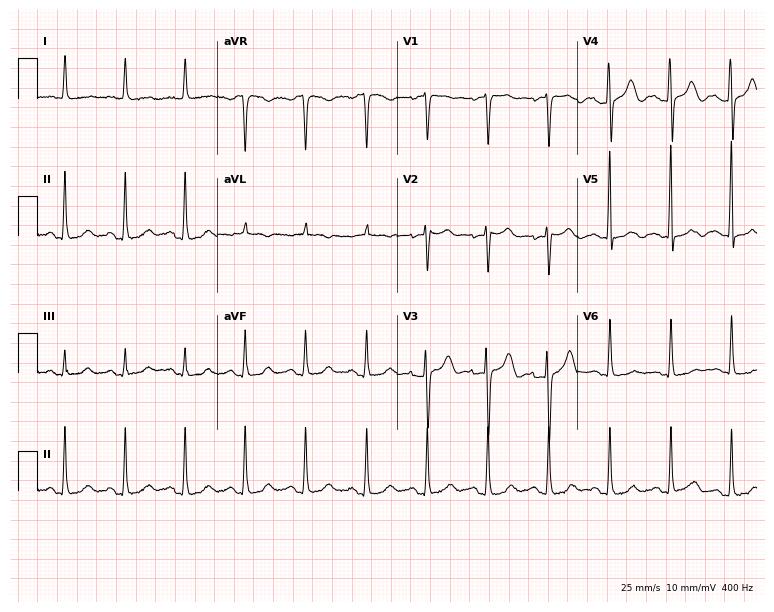
Electrocardiogram (7.3-second recording at 400 Hz), a 73-year-old woman. Of the six screened findings (first-degree AV block, right bundle branch block, left bundle branch block, sinus bradycardia, atrial fibrillation, sinus tachycardia), none is recorded.